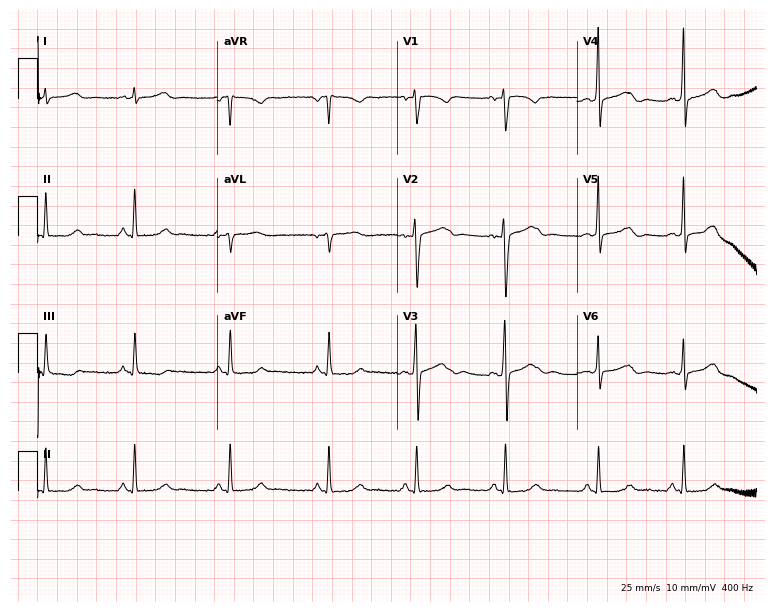
12-lead ECG (7.3-second recording at 400 Hz) from a female patient, 32 years old. Labelled as a normal ECG.